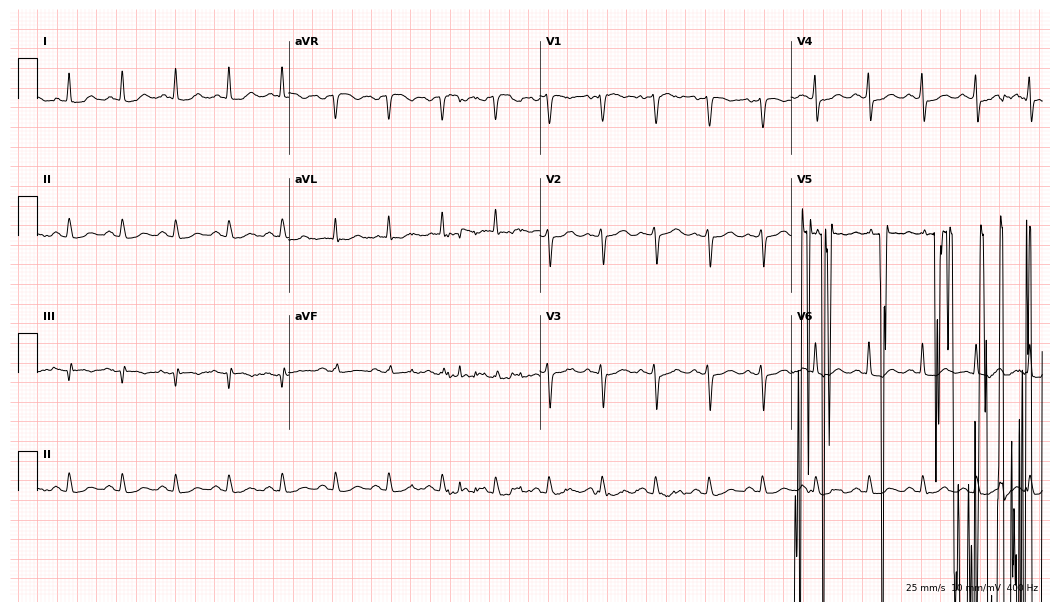
12-lead ECG (10.2-second recording at 400 Hz) from a woman, 78 years old. Screened for six findings — first-degree AV block, right bundle branch block, left bundle branch block, sinus bradycardia, atrial fibrillation, sinus tachycardia — none is recorded.